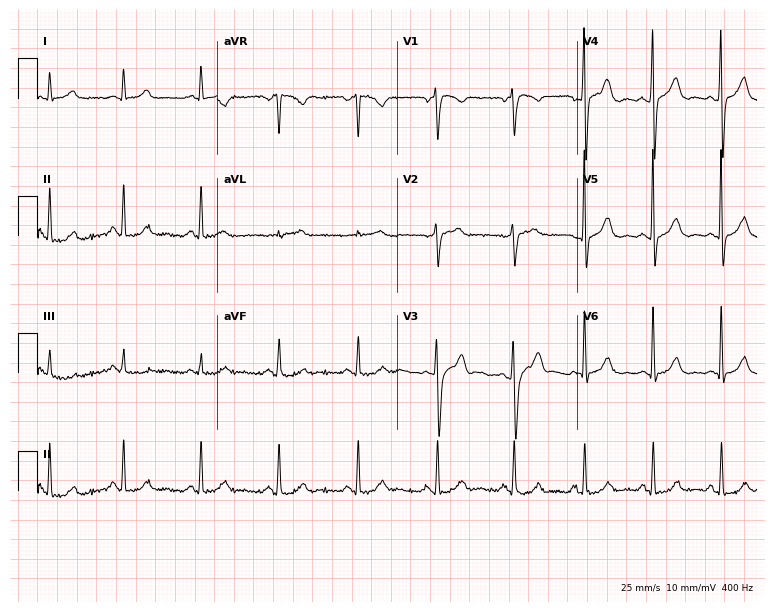
Electrocardiogram, a 54-year-old man. Of the six screened findings (first-degree AV block, right bundle branch block, left bundle branch block, sinus bradycardia, atrial fibrillation, sinus tachycardia), none is recorded. Findings outside these six are not listed.